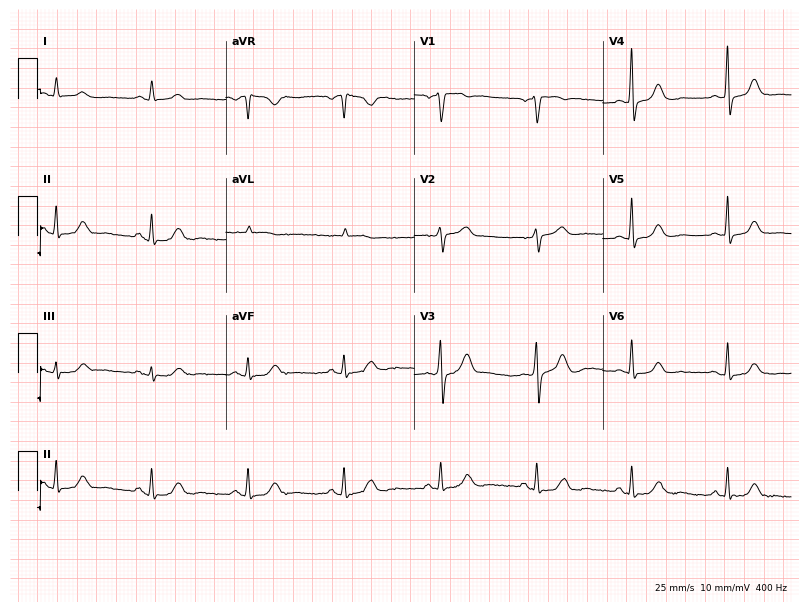
Standard 12-lead ECG recorded from a male patient, 76 years old (7.7-second recording at 400 Hz). None of these six findings is recorded: first-degree AV block, right bundle branch block (RBBB), left bundle branch block (LBBB), sinus bradycardia, atrial fibrillation (AF), sinus tachycardia.